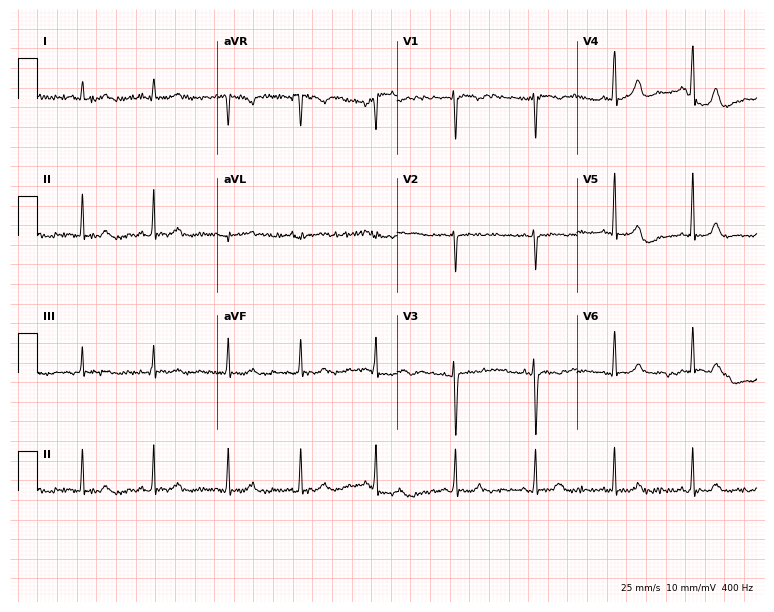
12-lead ECG (7.3-second recording at 400 Hz) from a woman, 36 years old. Labelled as a normal ECG.